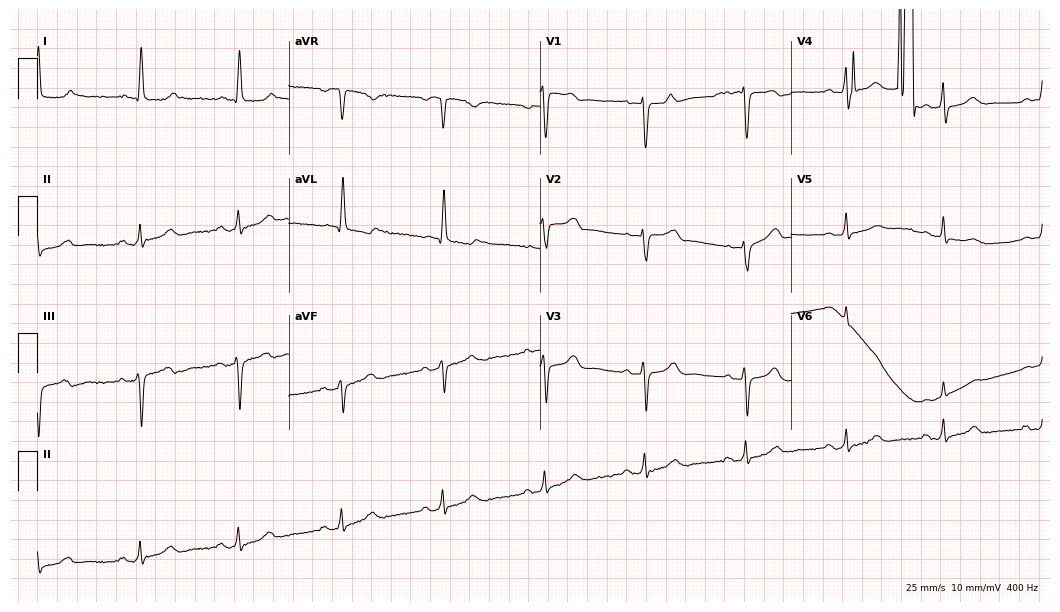
12-lead ECG from a 71-year-old female. No first-degree AV block, right bundle branch block, left bundle branch block, sinus bradycardia, atrial fibrillation or sinus tachycardia recorded for this tracing.